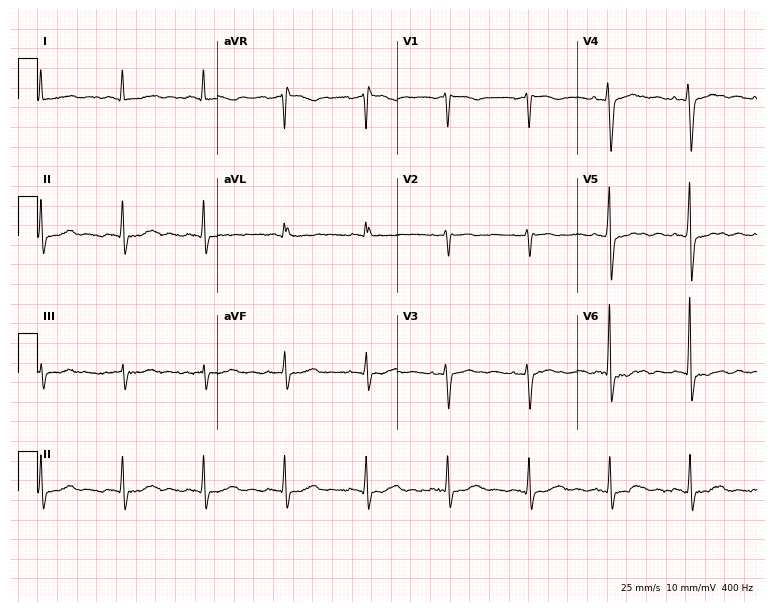
Electrocardiogram, a woman, 57 years old. Of the six screened findings (first-degree AV block, right bundle branch block (RBBB), left bundle branch block (LBBB), sinus bradycardia, atrial fibrillation (AF), sinus tachycardia), none is recorded. Other findings, if any, are not listed.